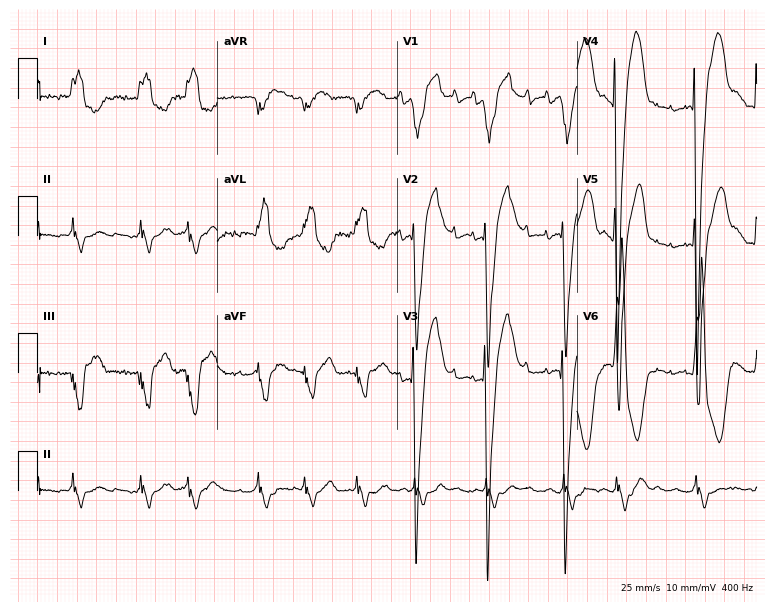
ECG — a woman, 68 years old. Findings include left bundle branch block (LBBB).